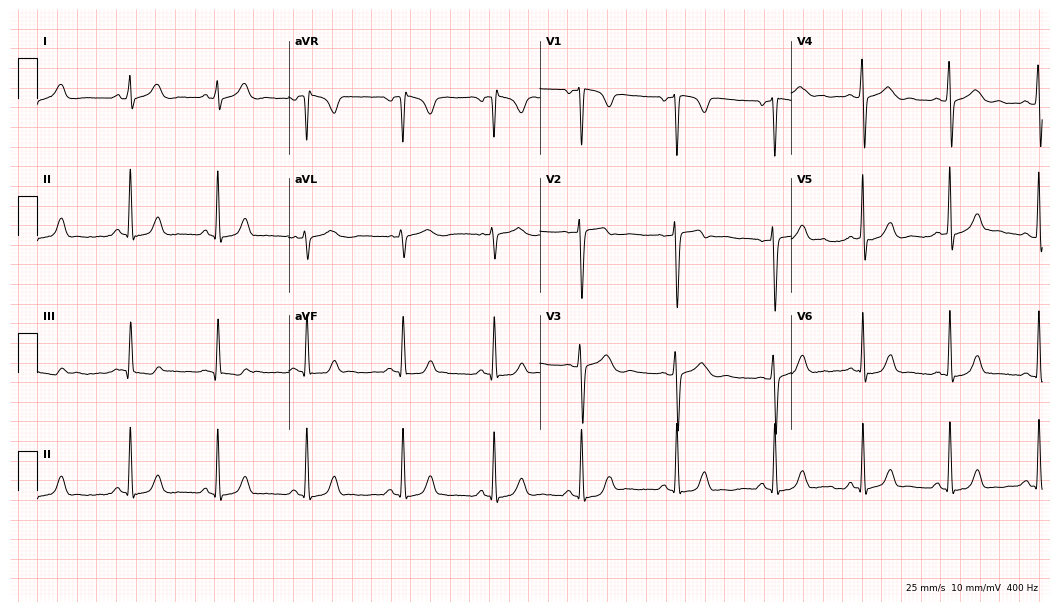
Standard 12-lead ECG recorded from a female, 26 years old. Read as a normal ECG.